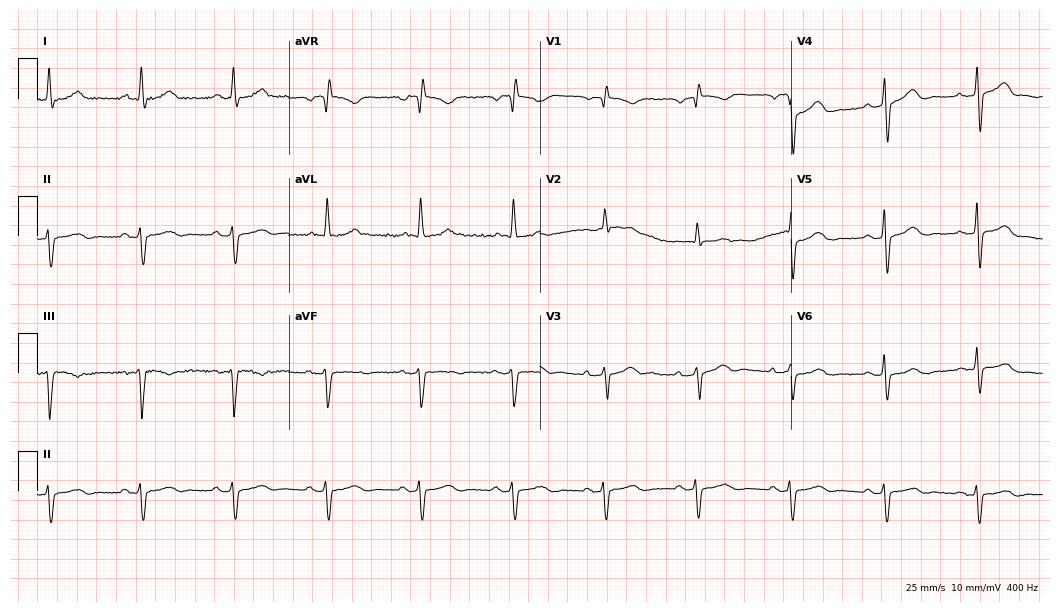
Resting 12-lead electrocardiogram. Patient: a male, 69 years old. None of these six findings is recorded: first-degree AV block, right bundle branch block, left bundle branch block, sinus bradycardia, atrial fibrillation, sinus tachycardia.